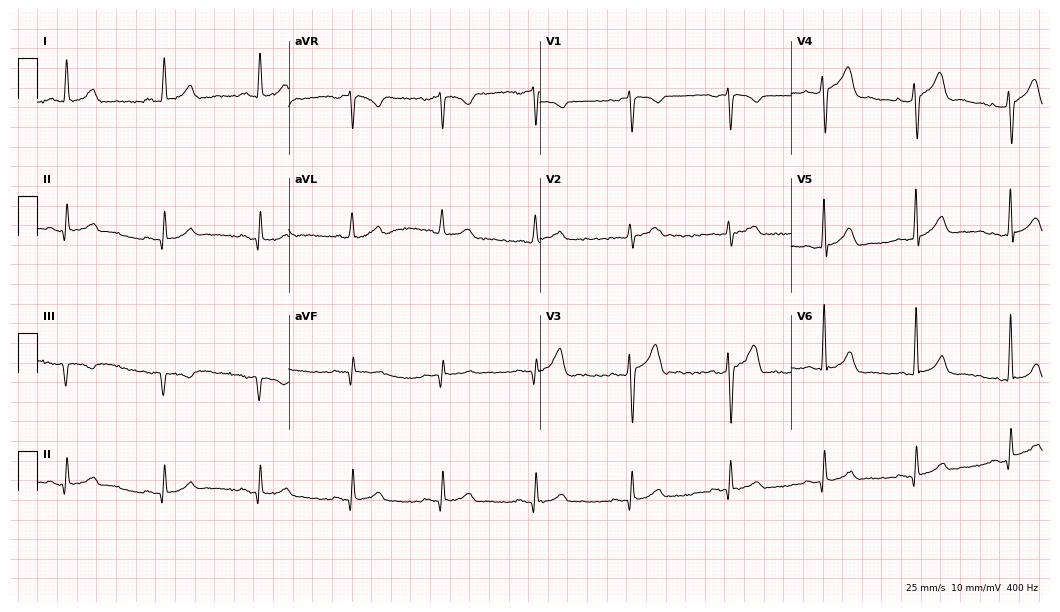
Standard 12-lead ECG recorded from a 41-year-old male (10.2-second recording at 400 Hz). None of these six findings is recorded: first-degree AV block, right bundle branch block, left bundle branch block, sinus bradycardia, atrial fibrillation, sinus tachycardia.